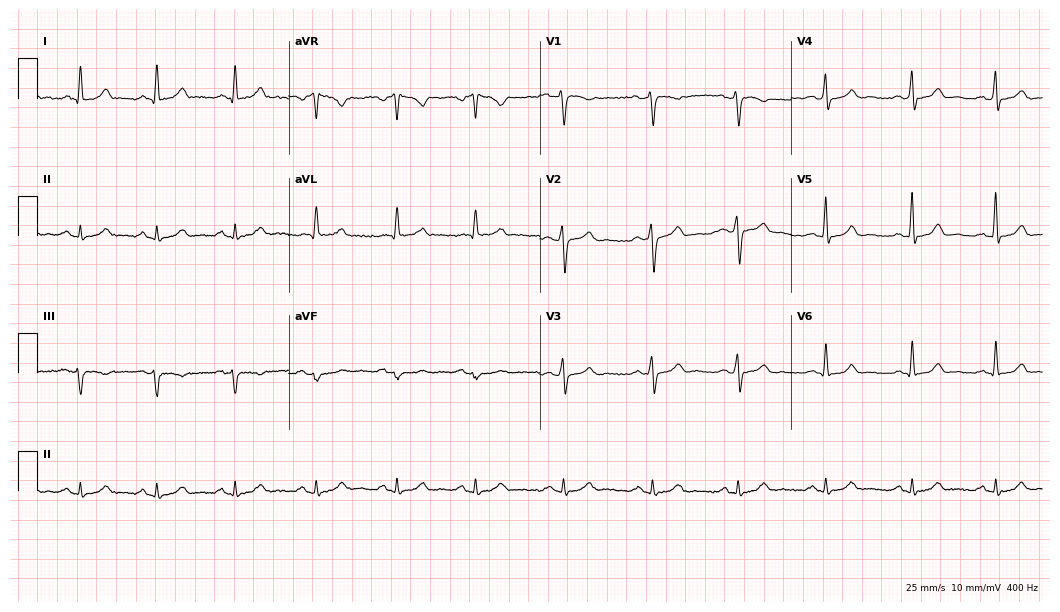
ECG (10.2-second recording at 400 Hz) — a 41-year-old male patient. Screened for six findings — first-degree AV block, right bundle branch block, left bundle branch block, sinus bradycardia, atrial fibrillation, sinus tachycardia — none is recorded. Findings outside these six are not listed.